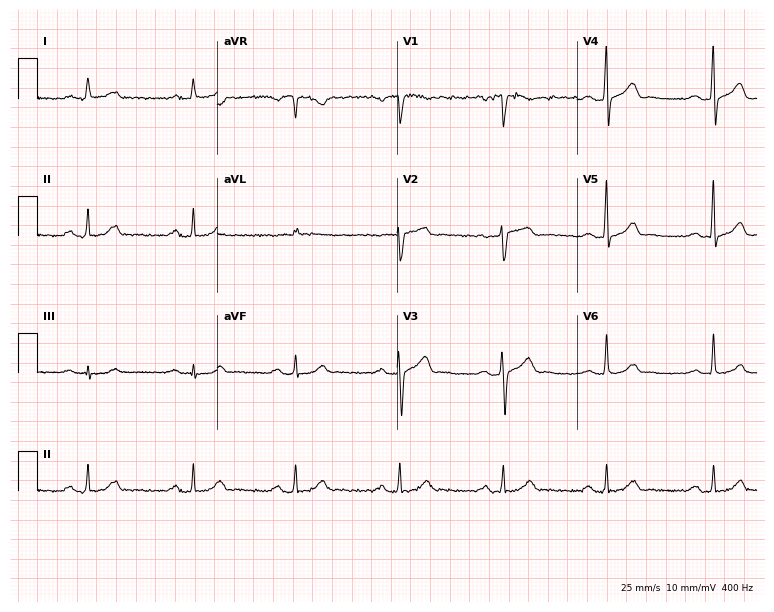
Standard 12-lead ECG recorded from a 50-year-old male. None of these six findings is recorded: first-degree AV block, right bundle branch block, left bundle branch block, sinus bradycardia, atrial fibrillation, sinus tachycardia.